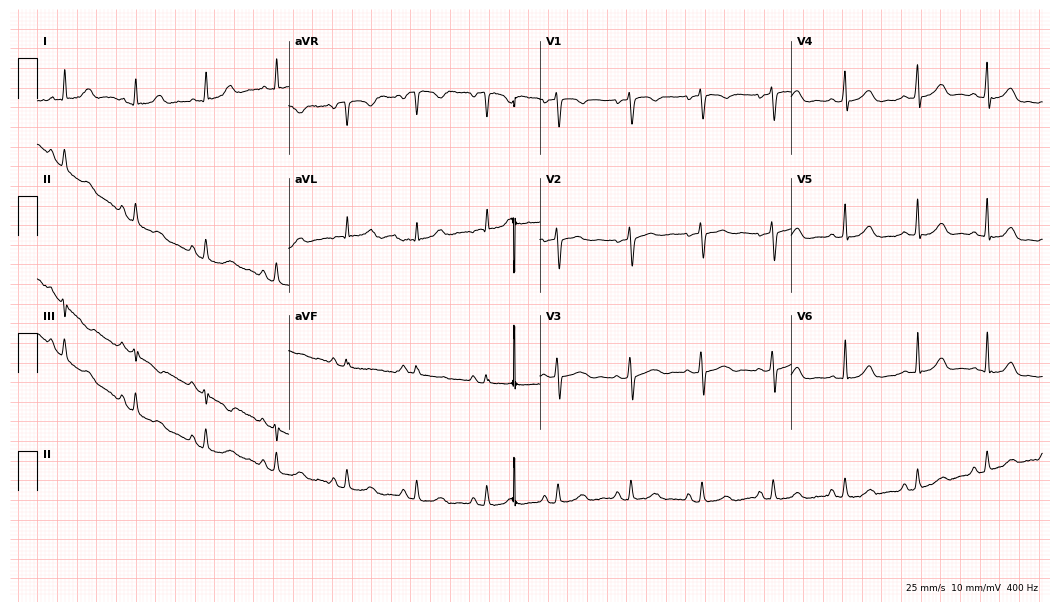
12-lead ECG from a 48-year-old woman. Recorded interpretation: within normal limits.